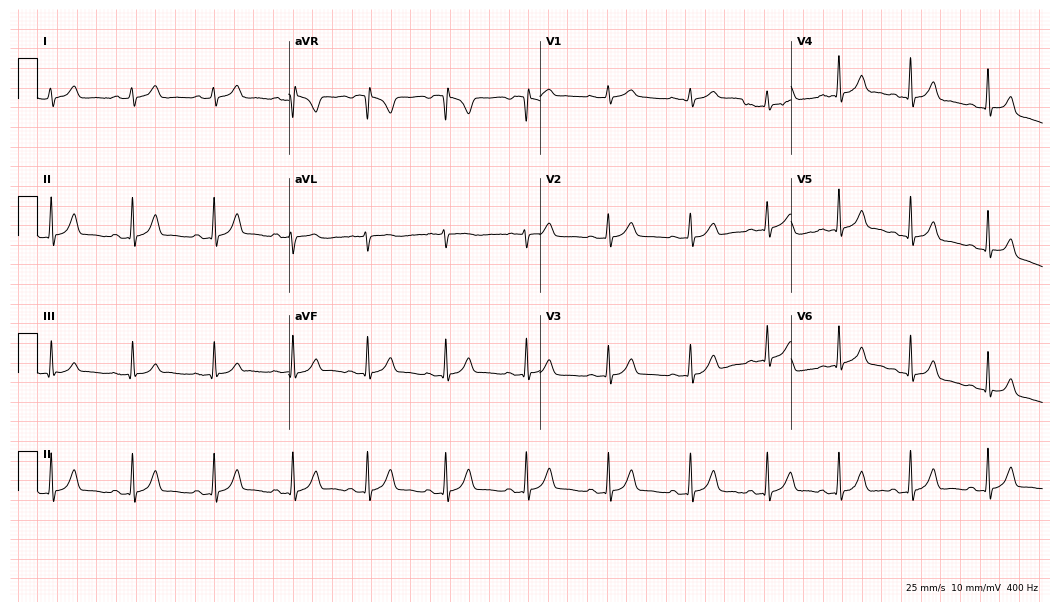
Electrocardiogram (10.2-second recording at 400 Hz), a 22-year-old female. Overall reading on record: normal ECG.